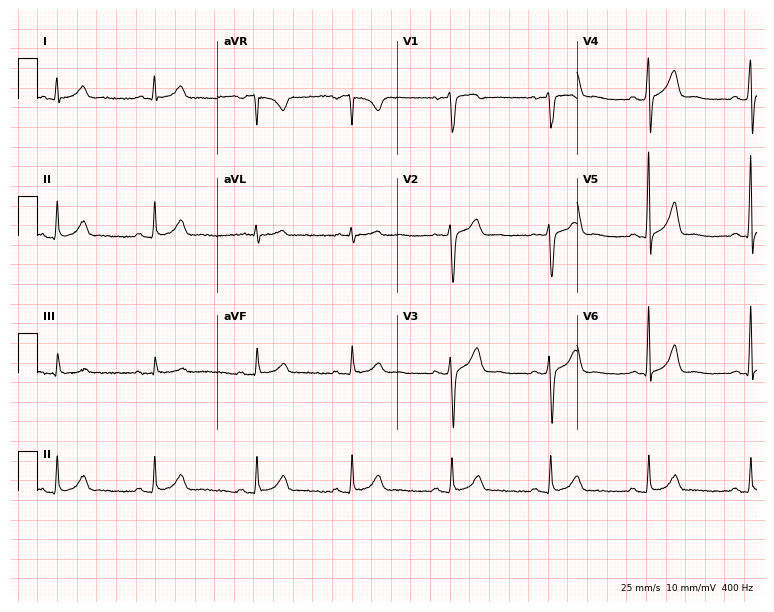
Resting 12-lead electrocardiogram (7.3-second recording at 400 Hz). Patient: a 59-year-old man. None of these six findings is recorded: first-degree AV block, right bundle branch block, left bundle branch block, sinus bradycardia, atrial fibrillation, sinus tachycardia.